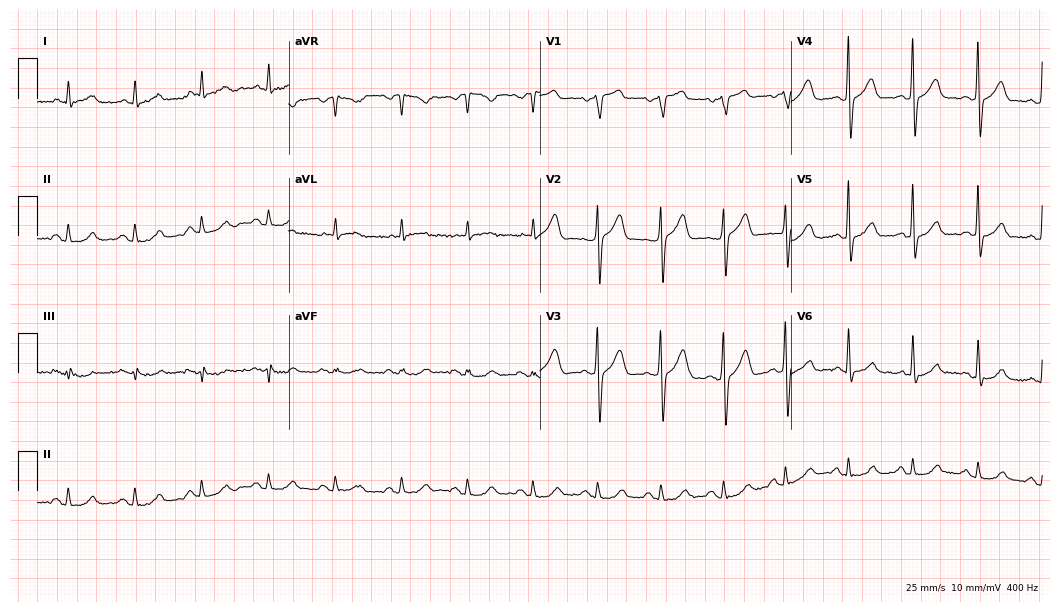
Resting 12-lead electrocardiogram. Patient: a 72-year-old male. Read as a normal ECG.